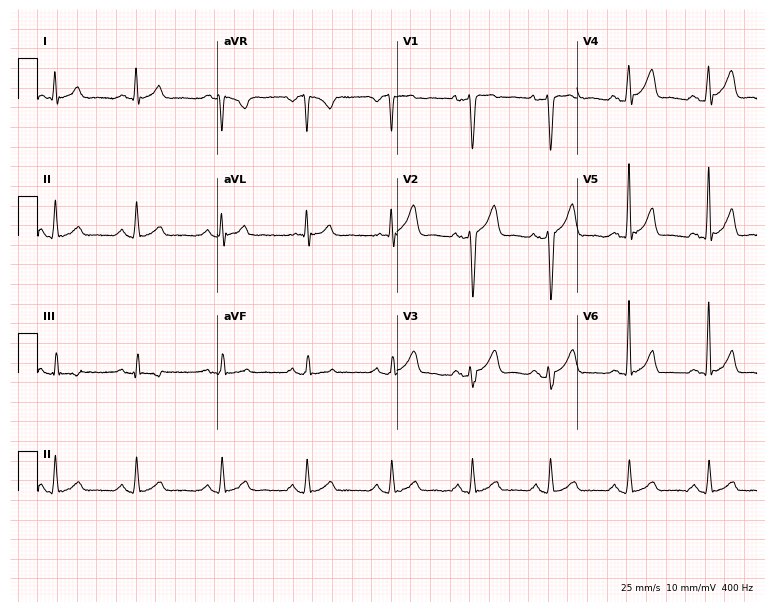
ECG — a male, 43 years old. Labelled as a normal ECG.